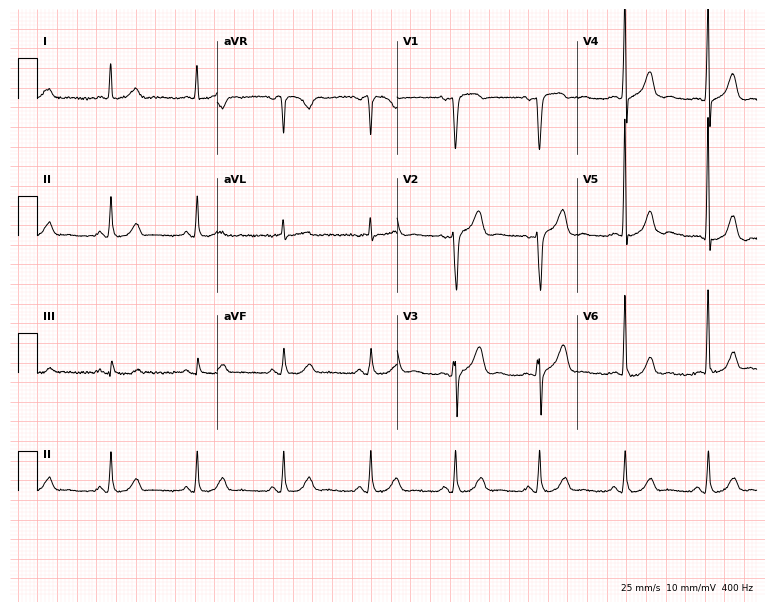
Resting 12-lead electrocardiogram. Patient: a male, 71 years old. Read as a normal ECG.